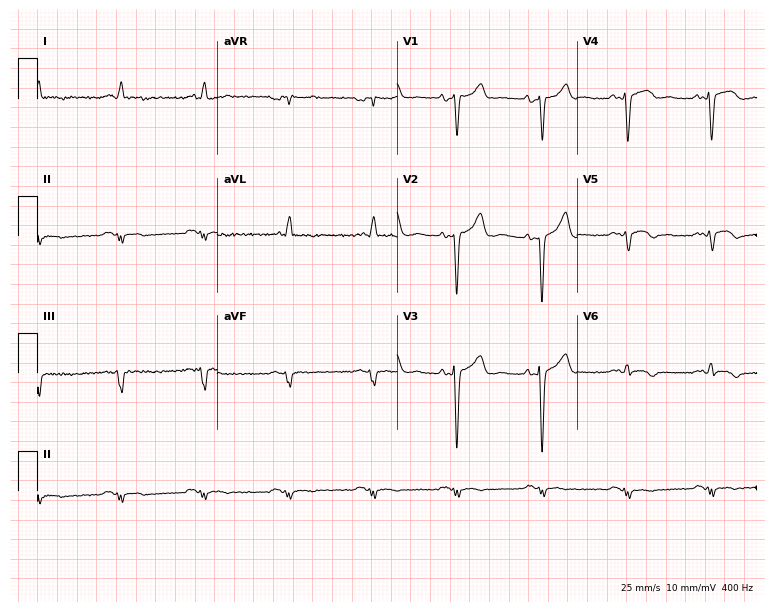
Resting 12-lead electrocardiogram. Patient: a man, 62 years old. None of these six findings is recorded: first-degree AV block, right bundle branch block, left bundle branch block, sinus bradycardia, atrial fibrillation, sinus tachycardia.